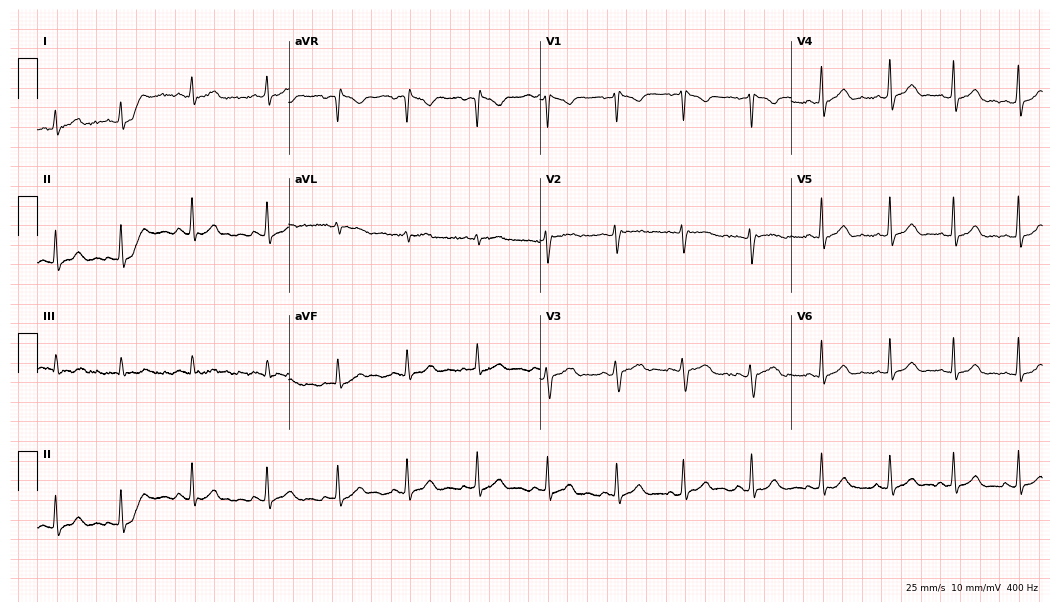
12-lead ECG from a 23-year-old woman. Recorded interpretation: within normal limits.